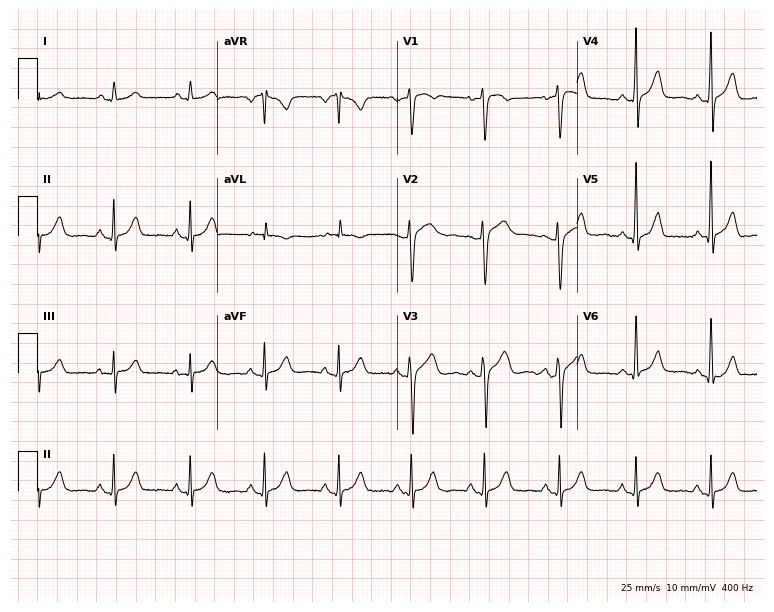
Standard 12-lead ECG recorded from a woman, 54 years old (7.3-second recording at 400 Hz). None of these six findings is recorded: first-degree AV block, right bundle branch block, left bundle branch block, sinus bradycardia, atrial fibrillation, sinus tachycardia. Findings outside these six are not listed.